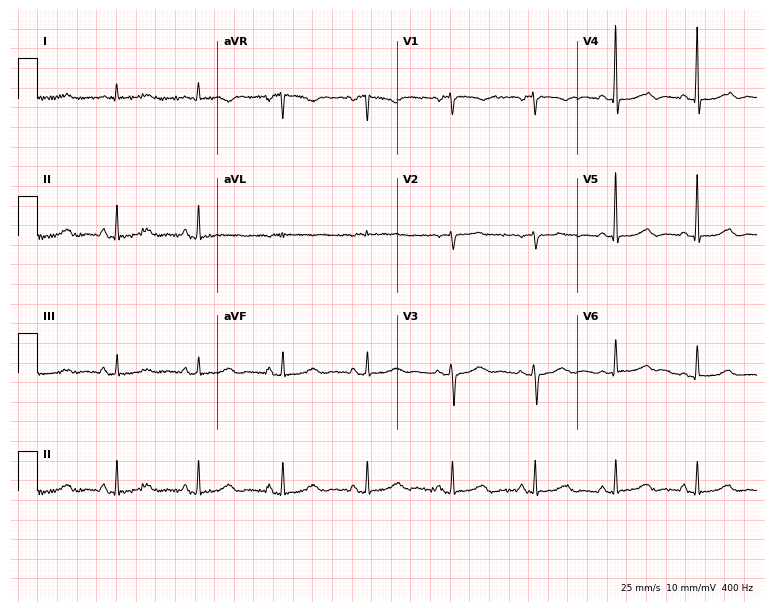
Electrocardiogram (7.3-second recording at 400 Hz), a female, 75 years old. Overall reading on record: normal ECG.